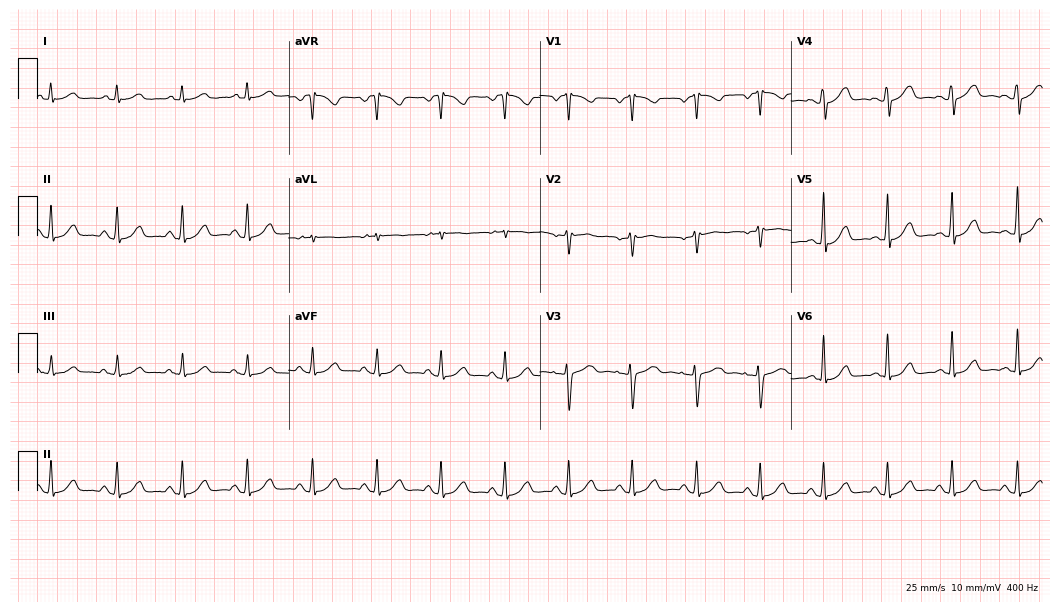
Electrocardiogram, a woman, 48 years old. Overall reading on record: normal ECG.